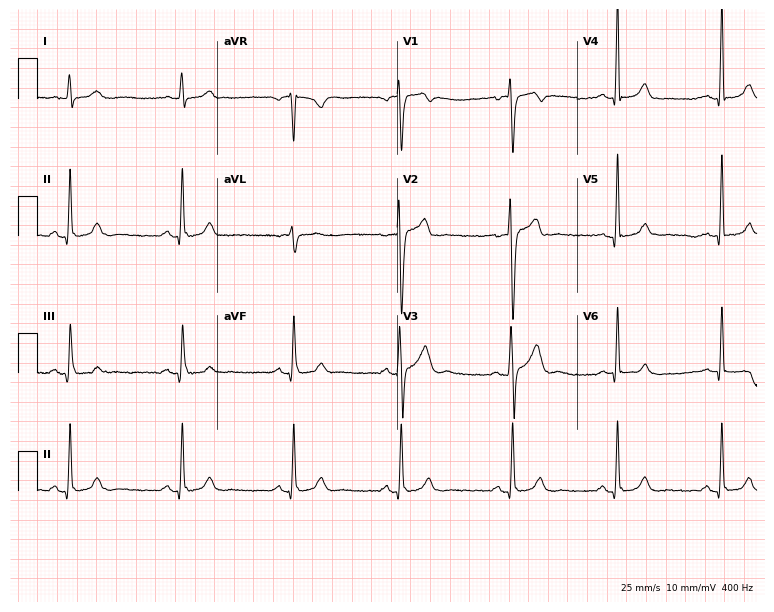
12-lead ECG from a 25-year-old male patient. Recorded interpretation: within normal limits.